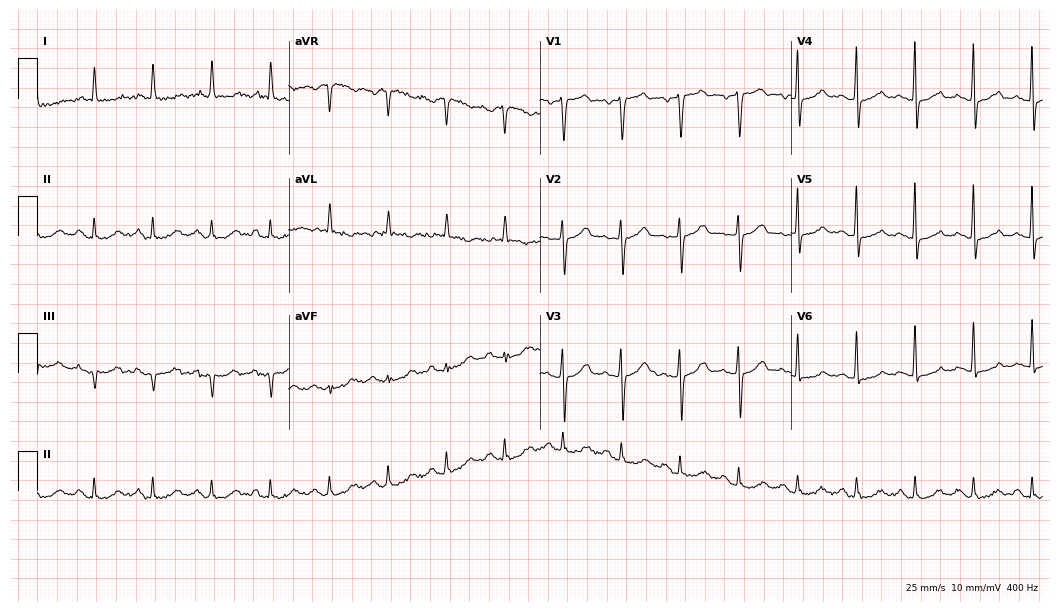
12-lead ECG (10.2-second recording at 400 Hz) from a 70-year-old female patient. Screened for six findings — first-degree AV block, right bundle branch block, left bundle branch block, sinus bradycardia, atrial fibrillation, sinus tachycardia — none is recorded. Only these six findings were labelled.